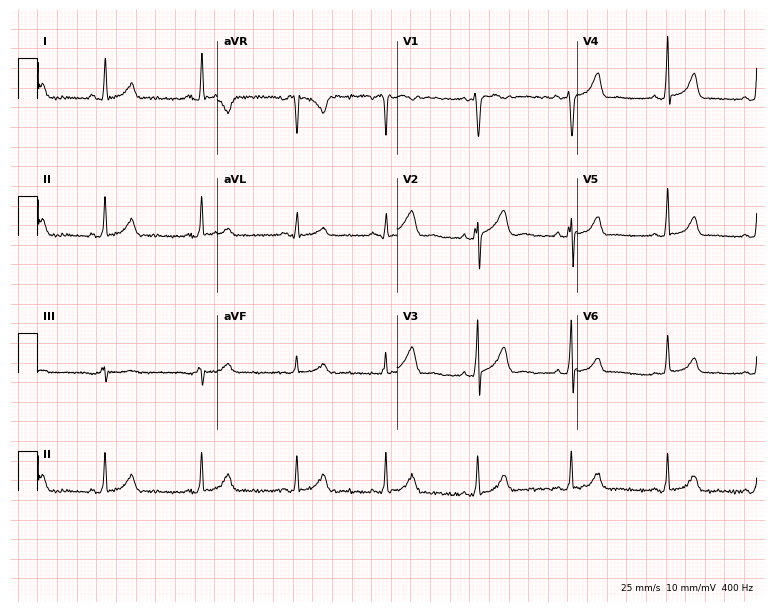
12-lead ECG (7.3-second recording at 400 Hz) from a female patient, 22 years old. Labelled as a normal ECG.